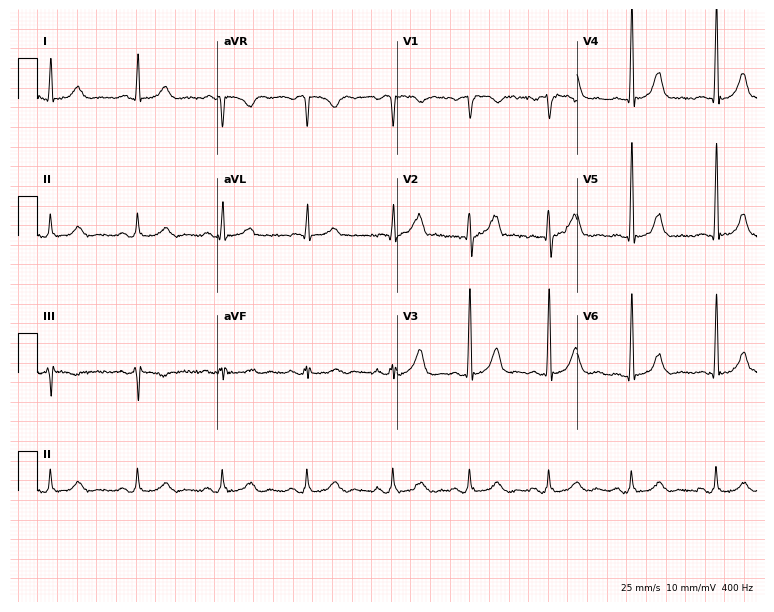
Electrocardiogram, a 61-year-old man. Overall reading on record: normal ECG.